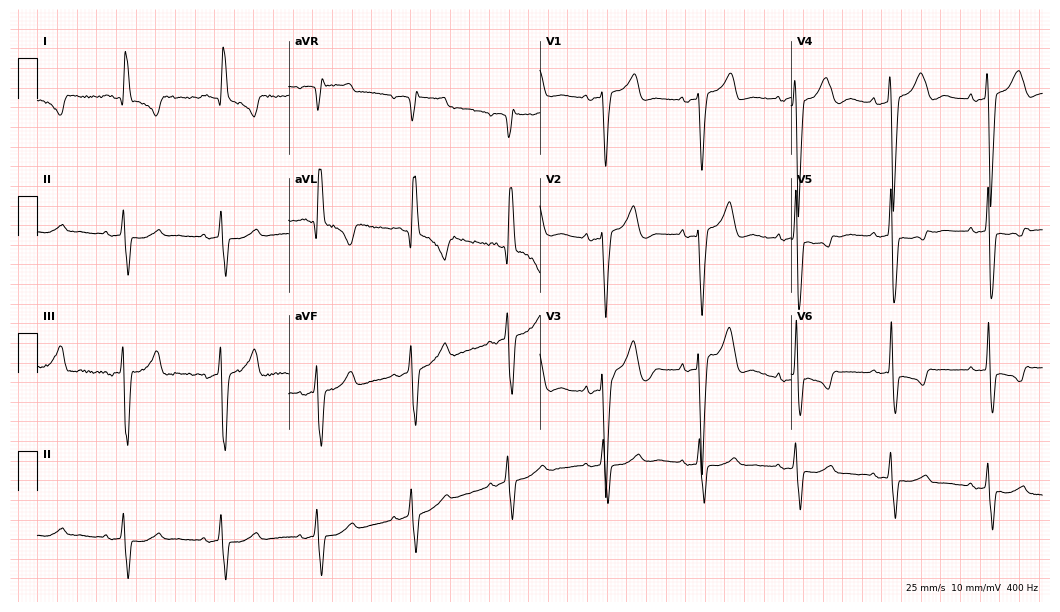
Electrocardiogram (10.2-second recording at 400 Hz), a 60-year-old female patient. Of the six screened findings (first-degree AV block, right bundle branch block, left bundle branch block, sinus bradycardia, atrial fibrillation, sinus tachycardia), none is recorded.